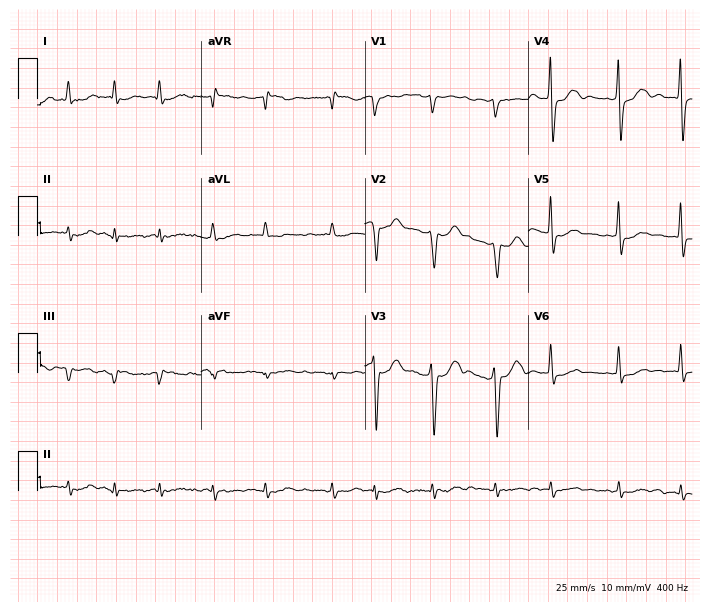
Electrocardiogram (6.7-second recording at 400 Hz), a 73-year-old female. Of the six screened findings (first-degree AV block, right bundle branch block (RBBB), left bundle branch block (LBBB), sinus bradycardia, atrial fibrillation (AF), sinus tachycardia), none is recorded.